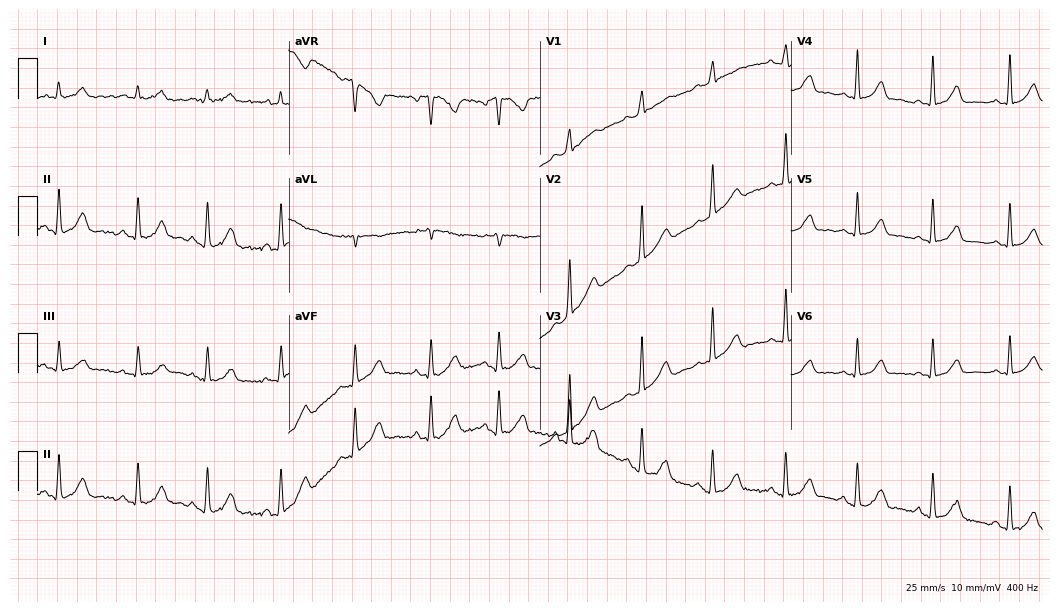
Standard 12-lead ECG recorded from a 26-year-old woman (10.2-second recording at 400 Hz). None of these six findings is recorded: first-degree AV block, right bundle branch block (RBBB), left bundle branch block (LBBB), sinus bradycardia, atrial fibrillation (AF), sinus tachycardia. Findings outside these six are not listed.